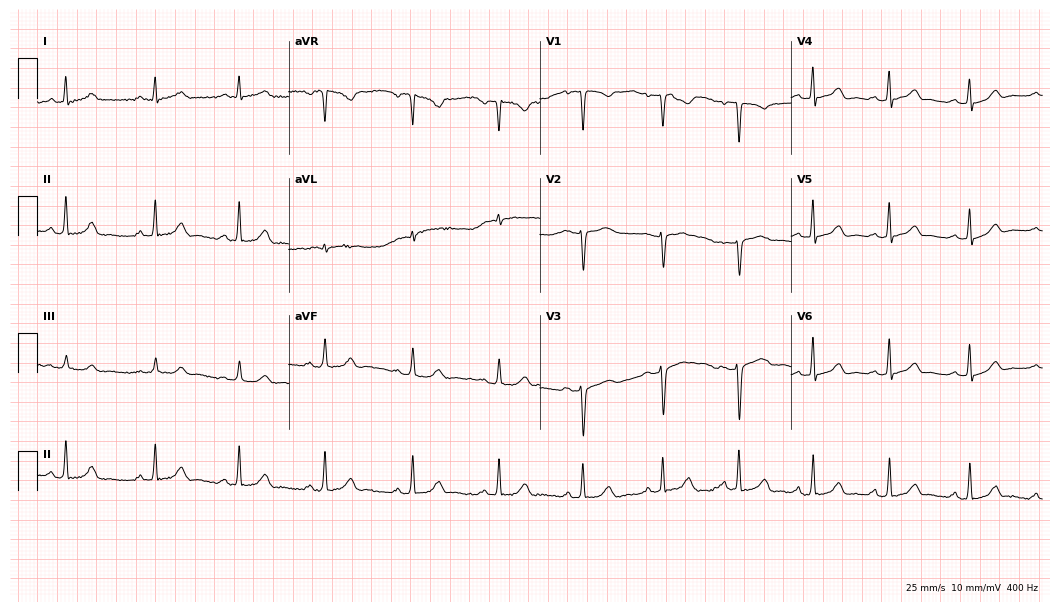
ECG — a female, 30 years old. Labelled as a normal ECG.